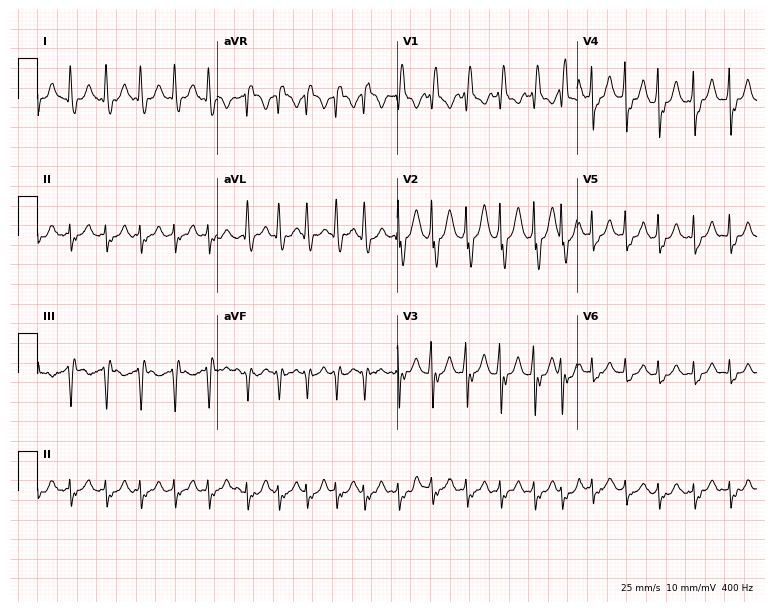
Standard 12-lead ECG recorded from an 84-year-old female. The tracing shows right bundle branch block, atrial fibrillation.